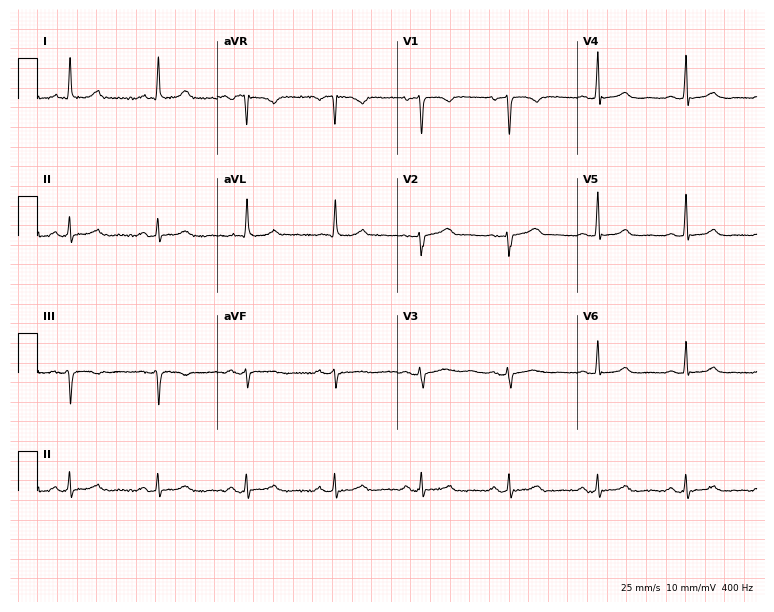
12-lead ECG from a 68-year-old female patient. Labelled as a normal ECG.